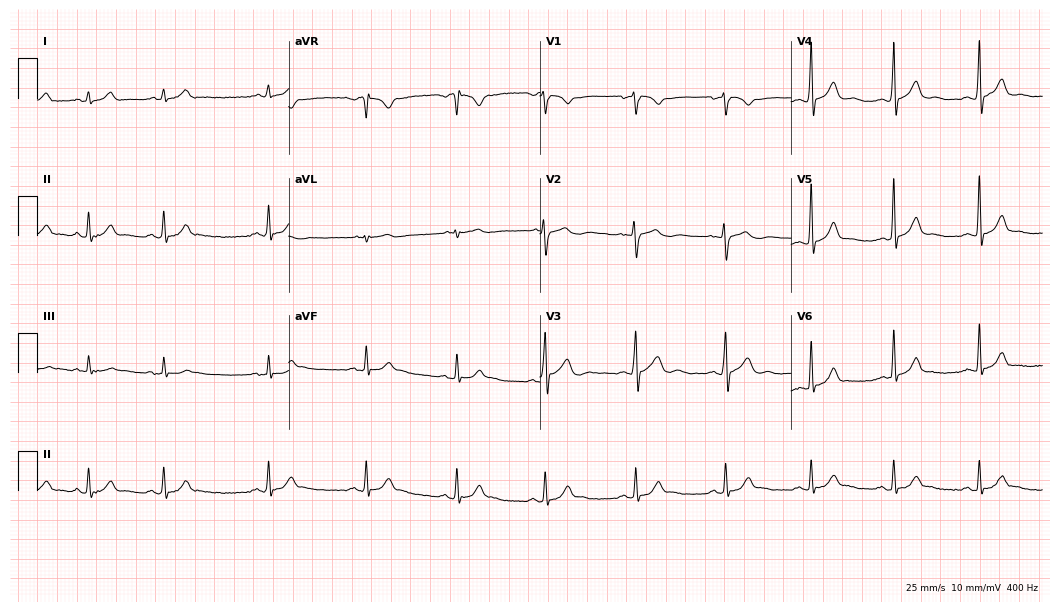
Electrocardiogram, a 19-year-old male patient. Overall reading on record: normal ECG.